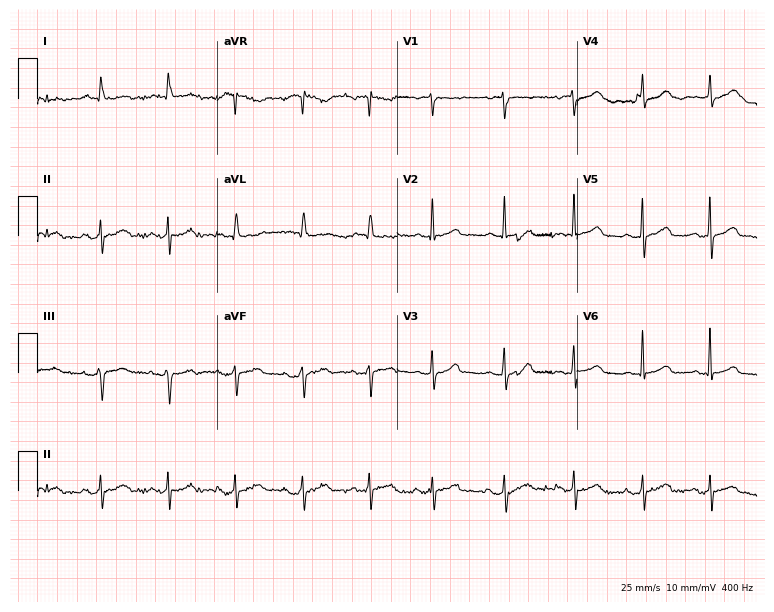
Electrocardiogram (7.3-second recording at 400 Hz), a 79-year-old woman. Of the six screened findings (first-degree AV block, right bundle branch block, left bundle branch block, sinus bradycardia, atrial fibrillation, sinus tachycardia), none is recorded.